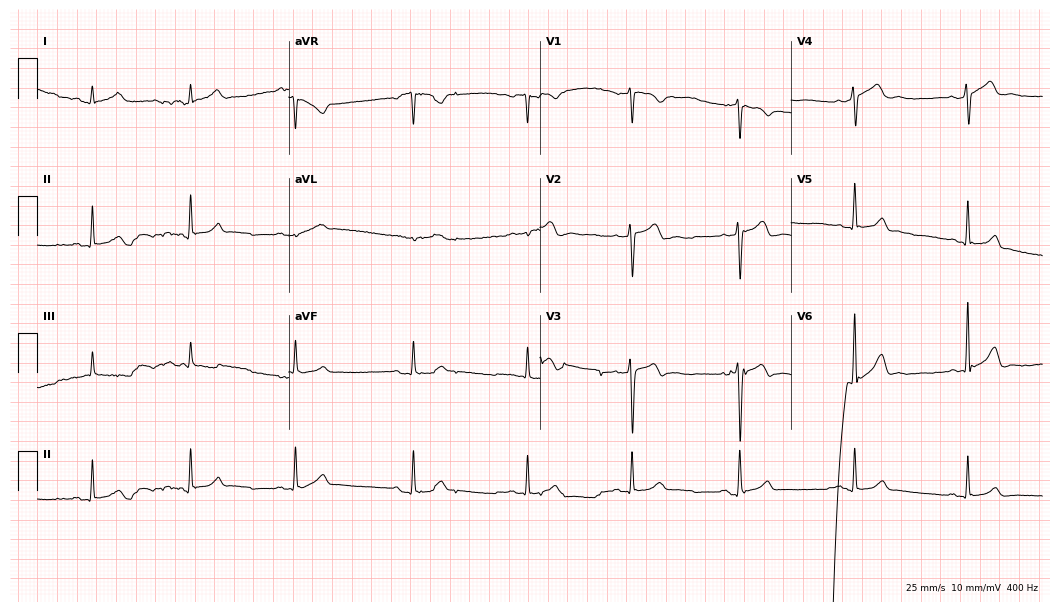
ECG — a man, 29 years old. Screened for six findings — first-degree AV block, right bundle branch block, left bundle branch block, sinus bradycardia, atrial fibrillation, sinus tachycardia — none is recorded.